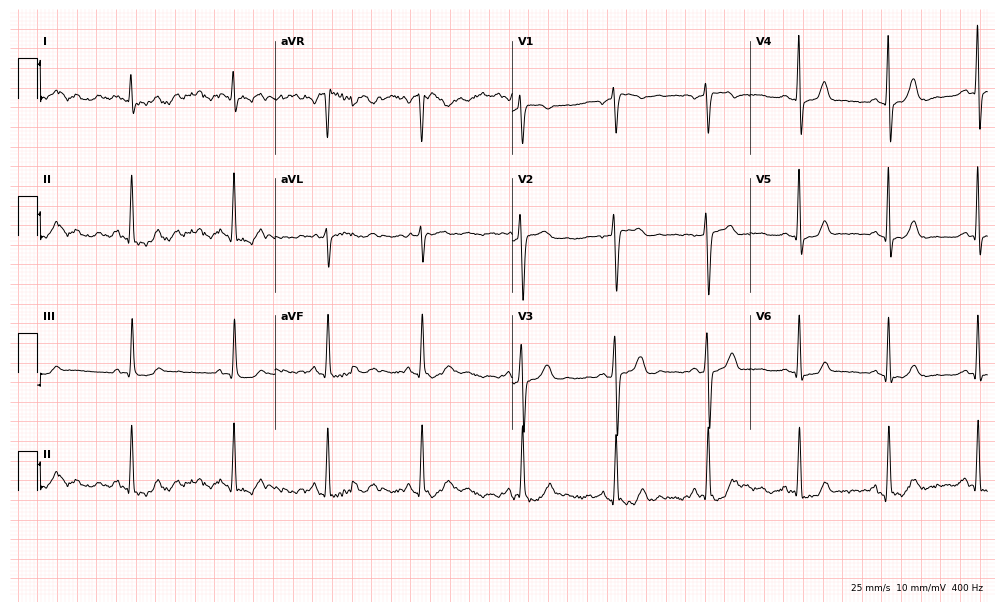
Standard 12-lead ECG recorded from a woman, 41 years old. None of these six findings is recorded: first-degree AV block, right bundle branch block (RBBB), left bundle branch block (LBBB), sinus bradycardia, atrial fibrillation (AF), sinus tachycardia.